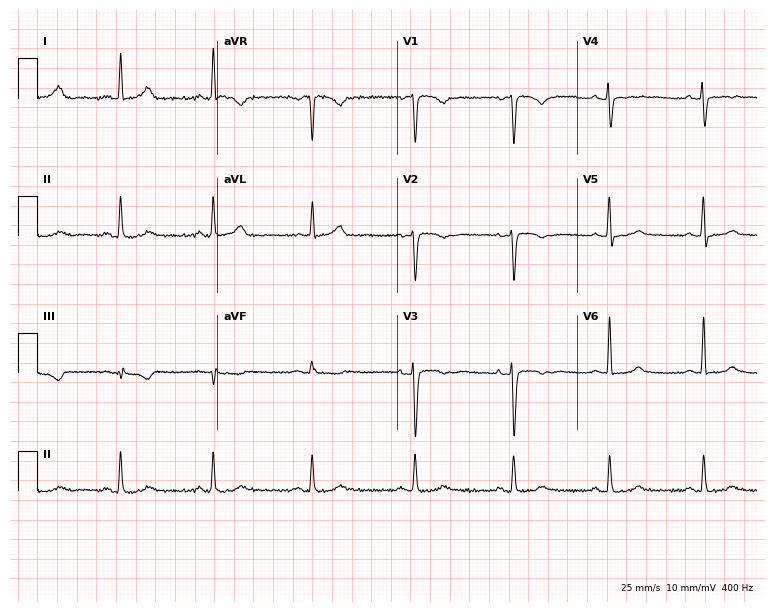
Resting 12-lead electrocardiogram. Patient: a female, 38 years old. Read as a normal ECG.